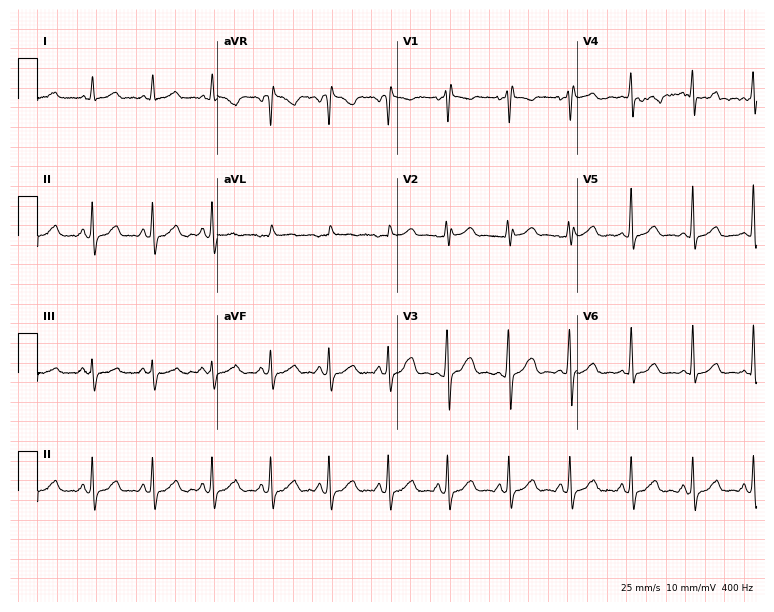
Electrocardiogram (7.3-second recording at 400 Hz), a female, 30 years old. Of the six screened findings (first-degree AV block, right bundle branch block (RBBB), left bundle branch block (LBBB), sinus bradycardia, atrial fibrillation (AF), sinus tachycardia), none is recorded.